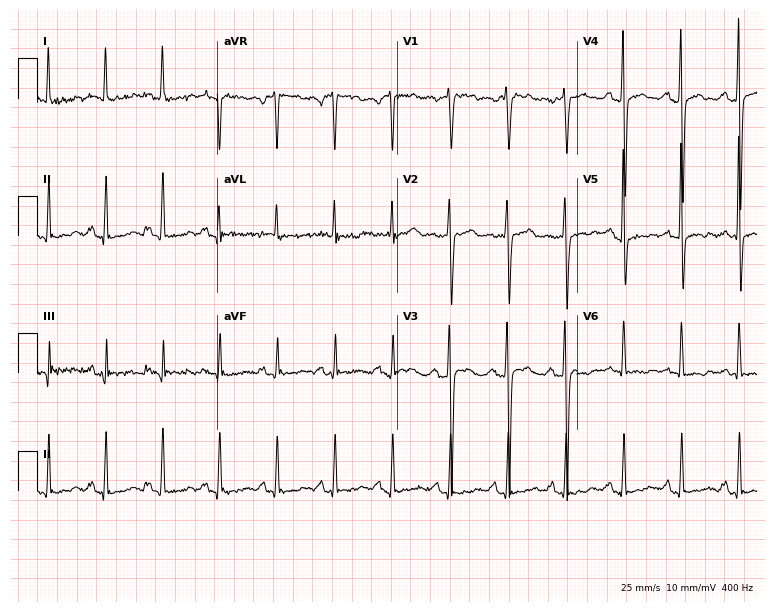
12-lead ECG from a female, 47 years old. Screened for six findings — first-degree AV block, right bundle branch block, left bundle branch block, sinus bradycardia, atrial fibrillation, sinus tachycardia — none is recorded. Only these six findings were labelled.